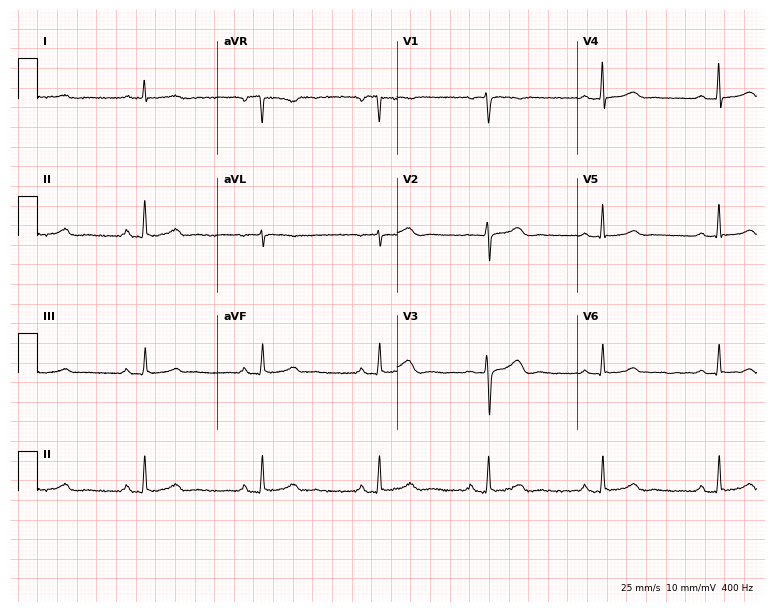
Standard 12-lead ECG recorded from a 36-year-old woman. Read as a normal ECG.